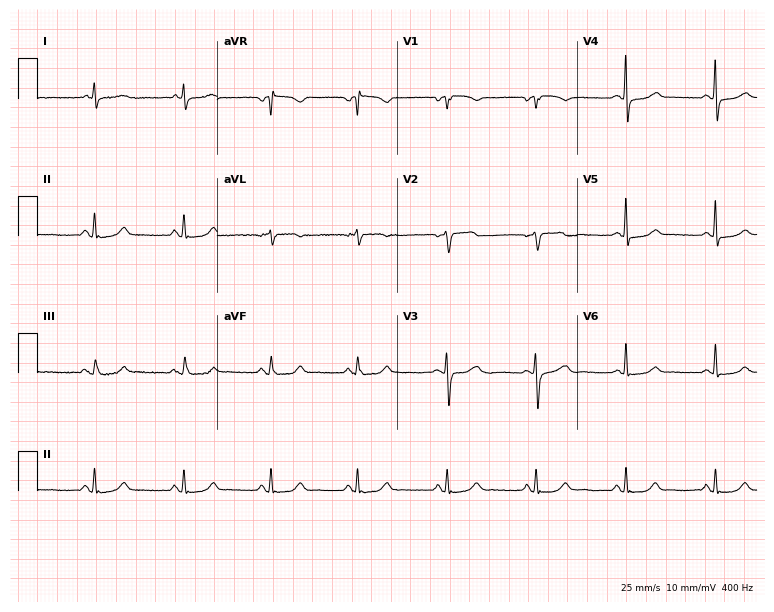
12-lead ECG from a 66-year-old female patient. Screened for six findings — first-degree AV block, right bundle branch block (RBBB), left bundle branch block (LBBB), sinus bradycardia, atrial fibrillation (AF), sinus tachycardia — none is recorded.